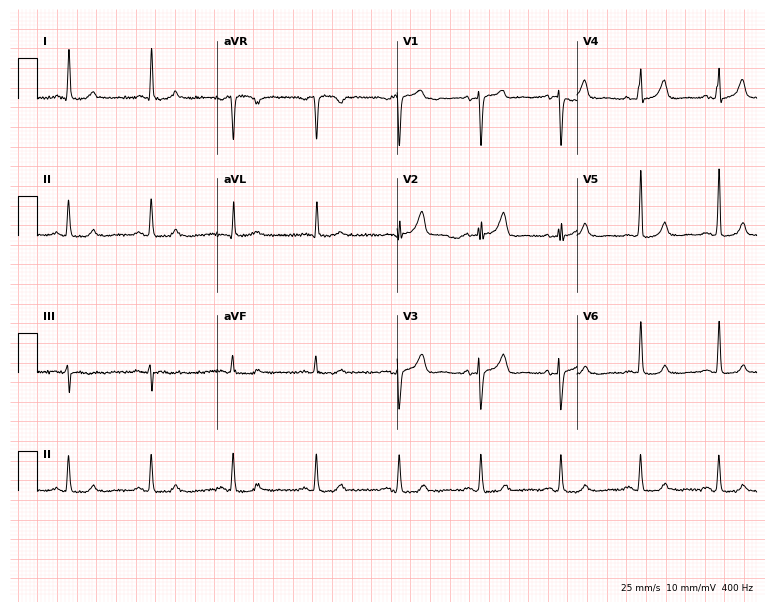
Electrocardiogram (7.3-second recording at 400 Hz), a woman, 75 years old. Overall reading on record: normal ECG.